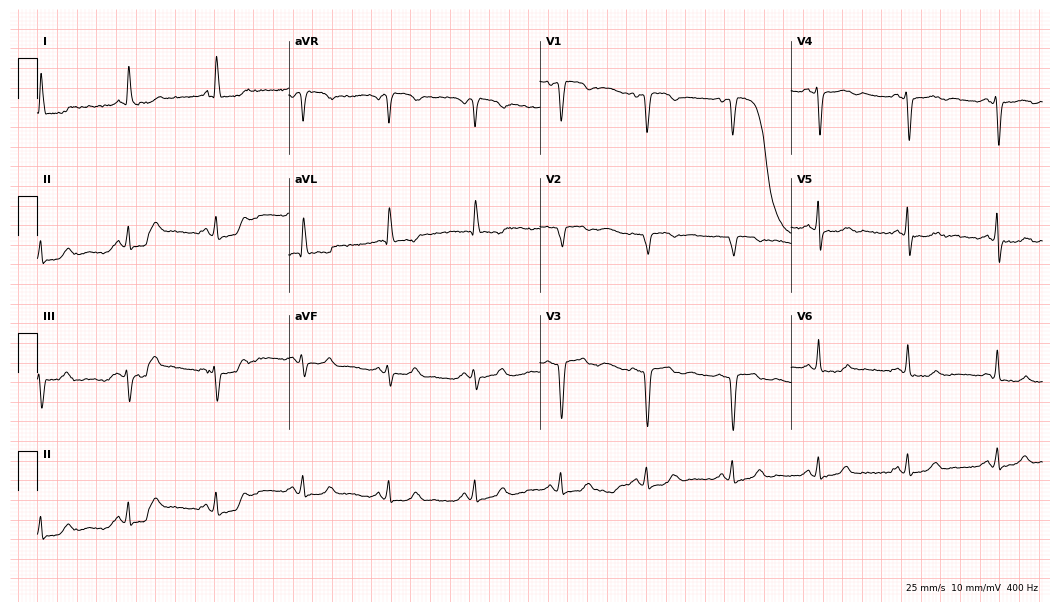
Standard 12-lead ECG recorded from a woman, 62 years old. None of these six findings is recorded: first-degree AV block, right bundle branch block, left bundle branch block, sinus bradycardia, atrial fibrillation, sinus tachycardia.